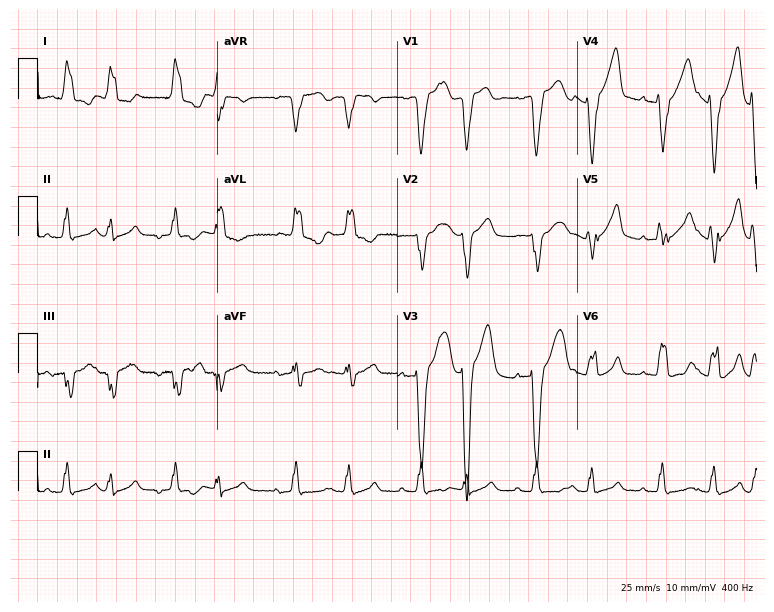
Electrocardiogram (7.3-second recording at 400 Hz), an 80-year-old male patient. Interpretation includes left bundle branch block.